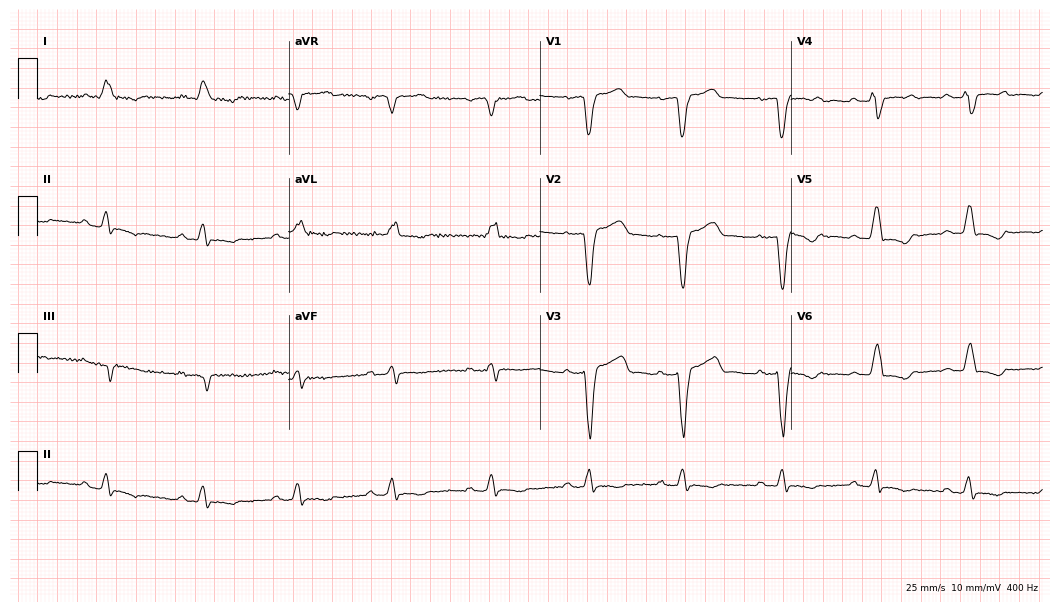
Standard 12-lead ECG recorded from a 79-year-old male. The tracing shows left bundle branch block.